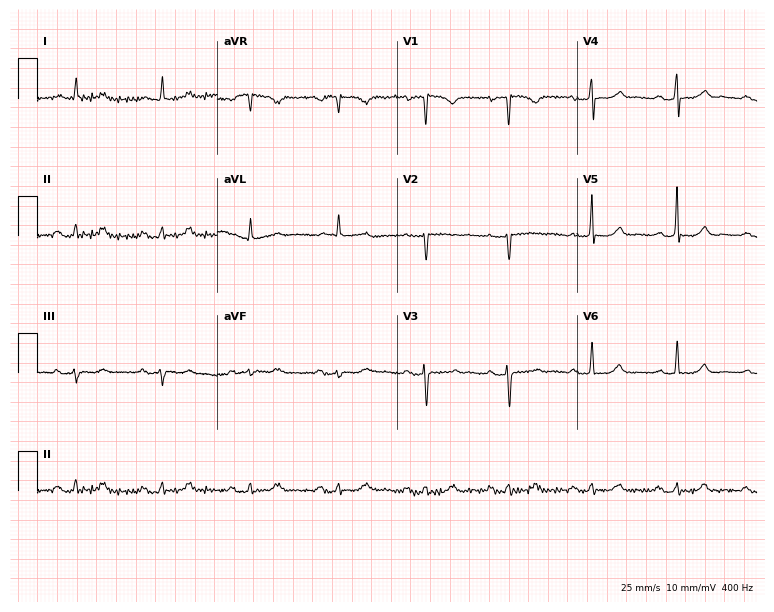
Standard 12-lead ECG recorded from a 61-year-old female patient (7.3-second recording at 400 Hz). None of these six findings is recorded: first-degree AV block, right bundle branch block, left bundle branch block, sinus bradycardia, atrial fibrillation, sinus tachycardia.